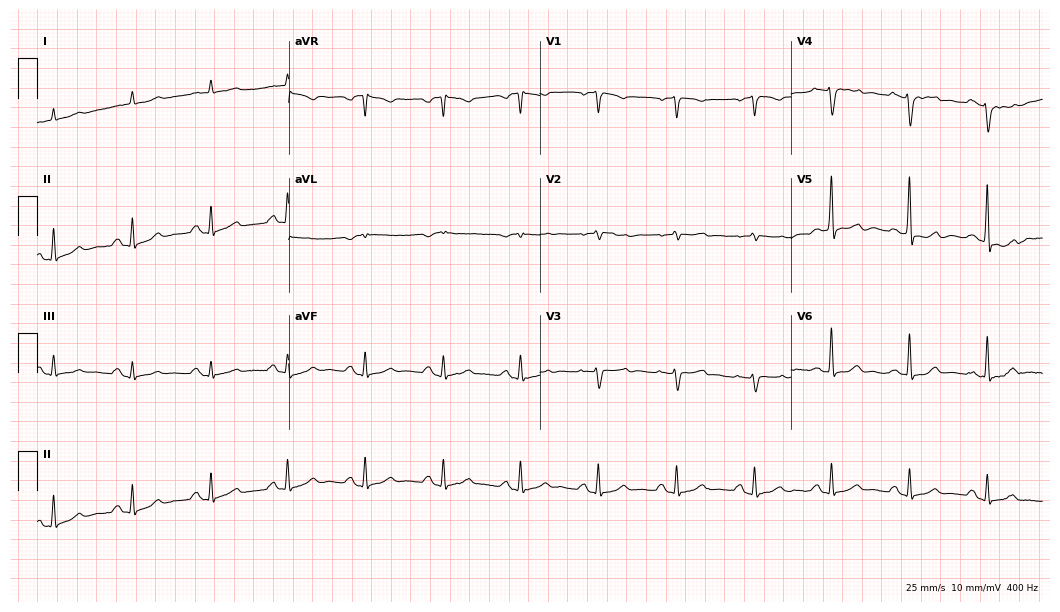
Standard 12-lead ECG recorded from a woman, 66 years old (10.2-second recording at 400 Hz). Read as a normal ECG.